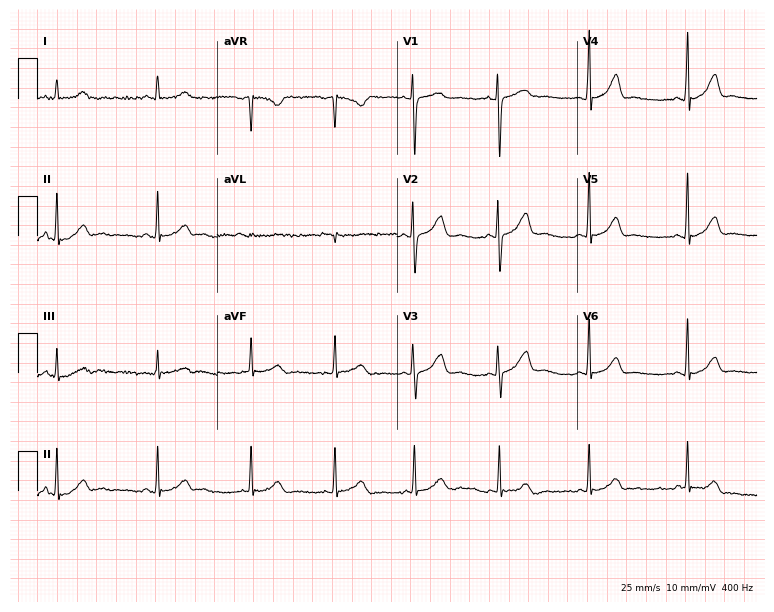
Electrocardiogram (7.3-second recording at 400 Hz), a female, 25 years old. Of the six screened findings (first-degree AV block, right bundle branch block, left bundle branch block, sinus bradycardia, atrial fibrillation, sinus tachycardia), none is recorded. Only these six findings were labelled.